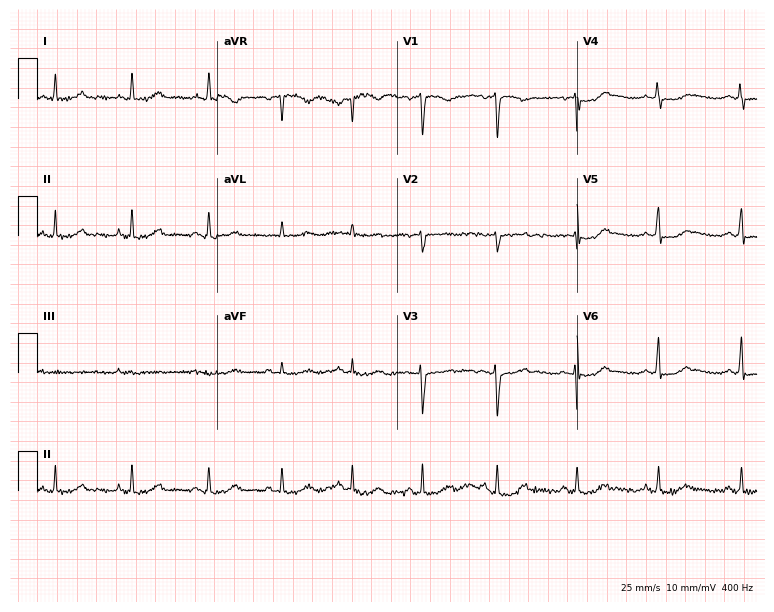
ECG — a 23-year-old female. Screened for six findings — first-degree AV block, right bundle branch block, left bundle branch block, sinus bradycardia, atrial fibrillation, sinus tachycardia — none is recorded. Findings outside these six are not listed.